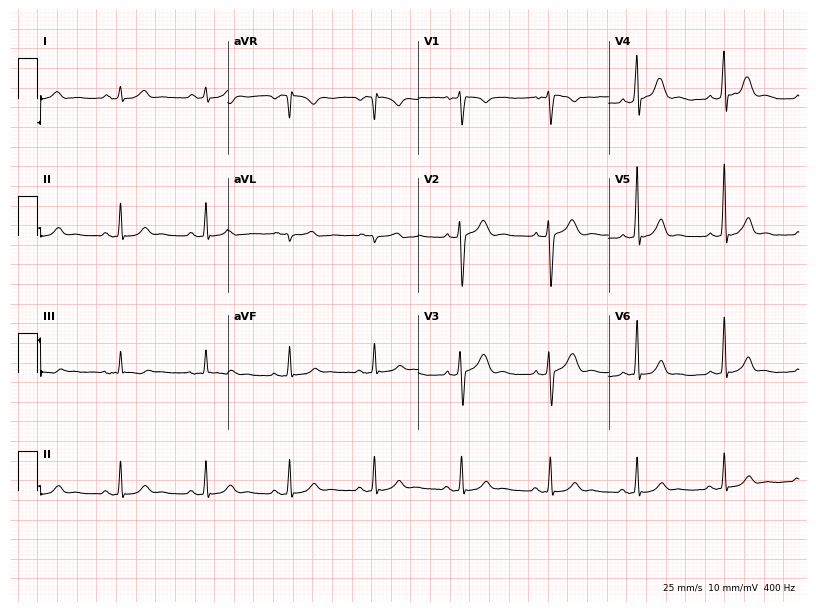
12-lead ECG from a 27-year-old man. Screened for six findings — first-degree AV block, right bundle branch block, left bundle branch block, sinus bradycardia, atrial fibrillation, sinus tachycardia — none is recorded.